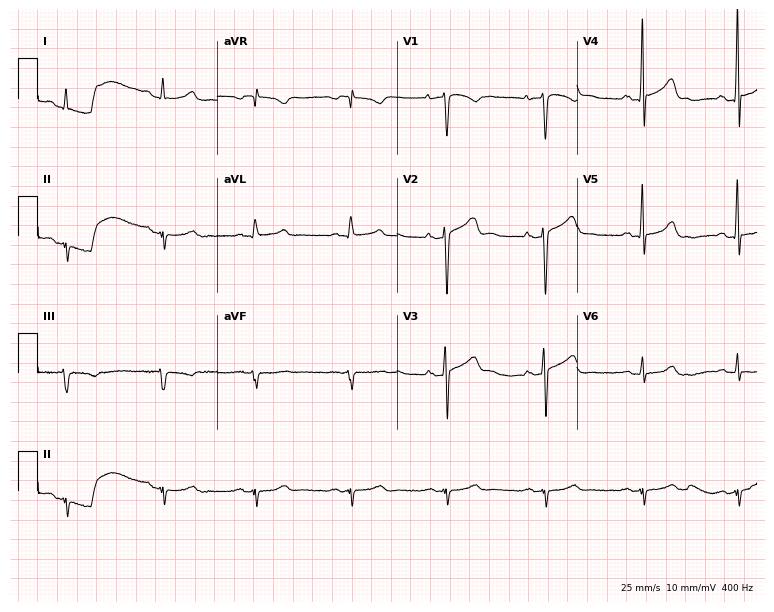
ECG (7.3-second recording at 400 Hz) — a 53-year-old male. Screened for six findings — first-degree AV block, right bundle branch block, left bundle branch block, sinus bradycardia, atrial fibrillation, sinus tachycardia — none is recorded. Other findings, if any, are not listed.